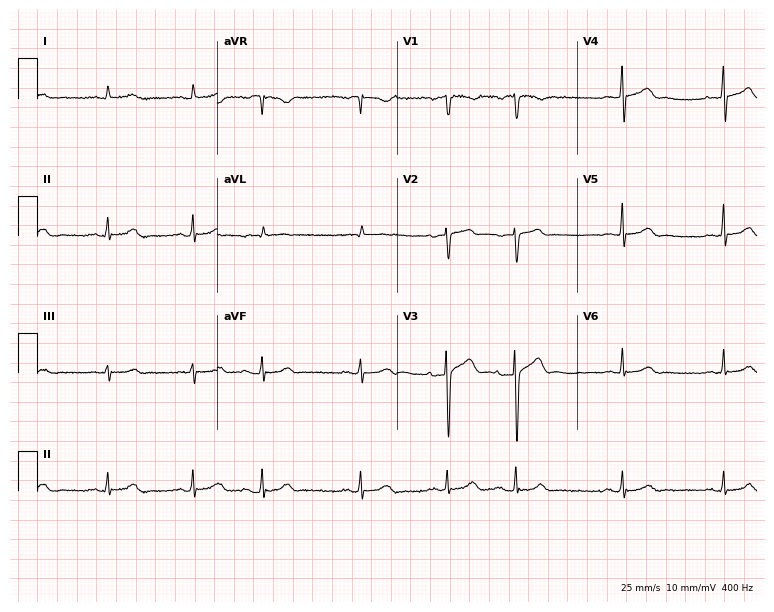
ECG — a male patient, 80 years old. Screened for six findings — first-degree AV block, right bundle branch block, left bundle branch block, sinus bradycardia, atrial fibrillation, sinus tachycardia — none is recorded.